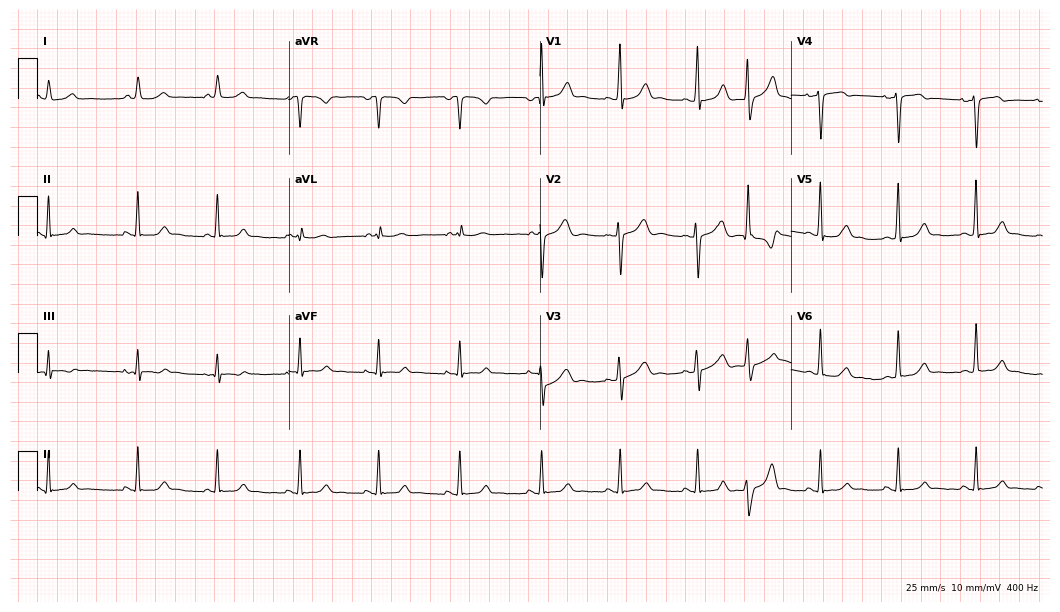
Electrocardiogram, a 30-year-old female. Overall reading on record: normal ECG.